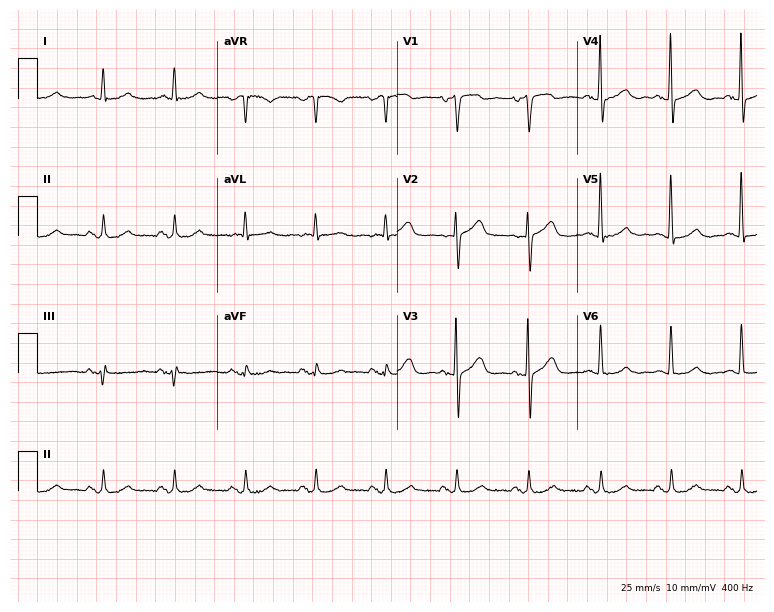
12-lead ECG from a 61-year-old man. No first-degree AV block, right bundle branch block, left bundle branch block, sinus bradycardia, atrial fibrillation or sinus tachycardia recorded for this tracing.